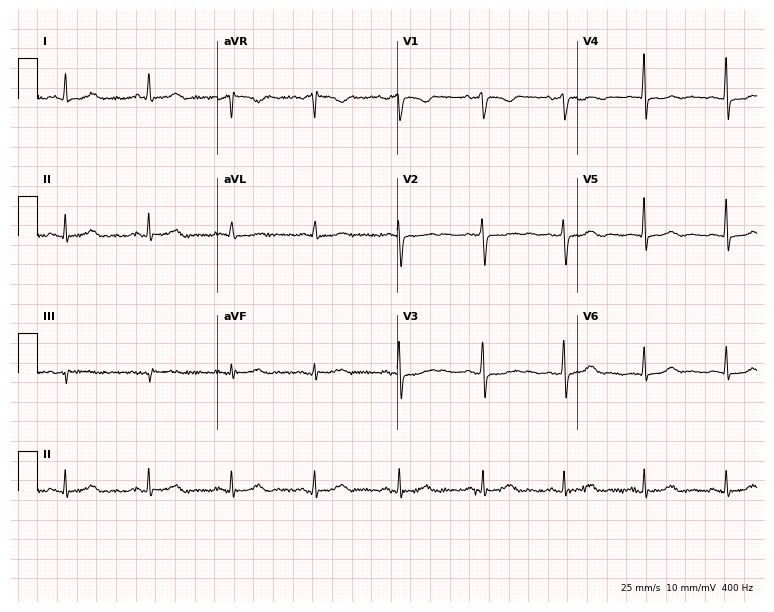
Resting 12-lead electrocardiogram. Patient: a female, 47 years old. Read as a normal ECG.